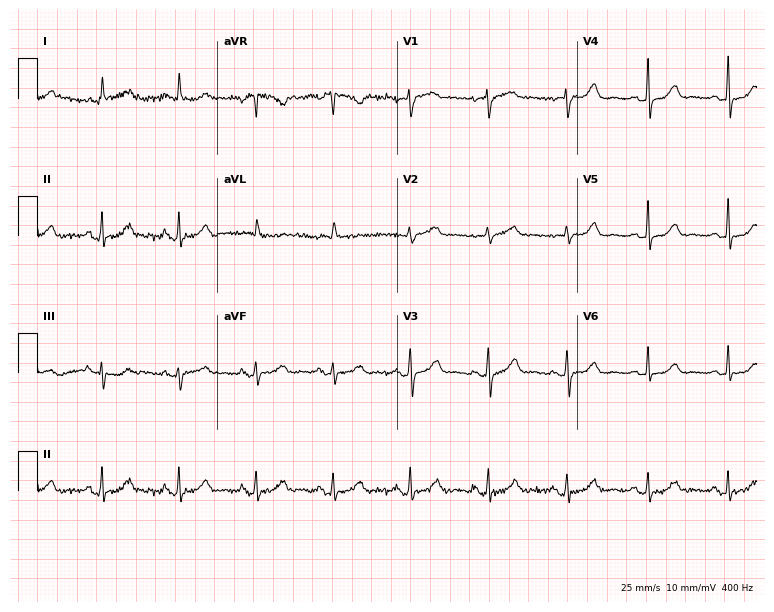
ECG (7.3-second recording at 400 Hz) — a woman, 69 years old. Labelled as a normal ECG.